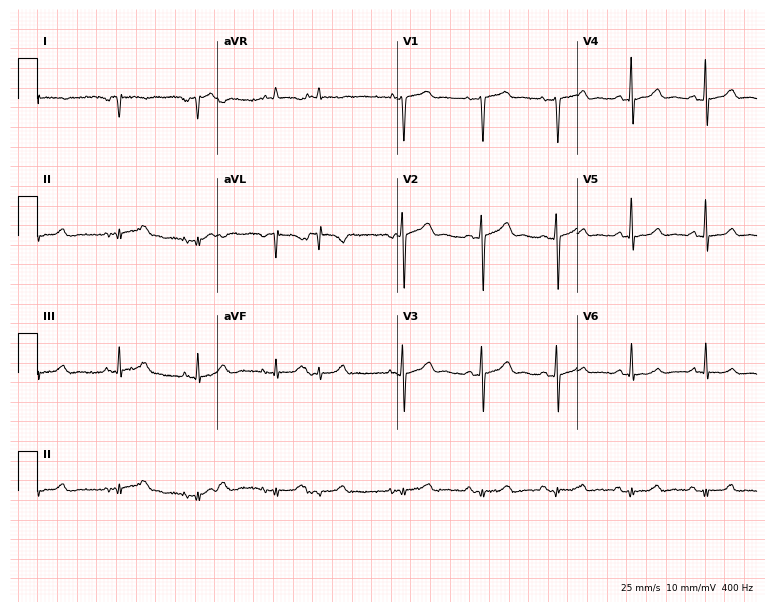
Standard 12-lead ECG recorded from a 70-year-old man. None of these six findings is recorded: first-degree AV block, right bundle branch block, left bundle branch block, sinus bradycardia, atrial fibrillation, sinus tachycardia. Findings outside these six are not listed.